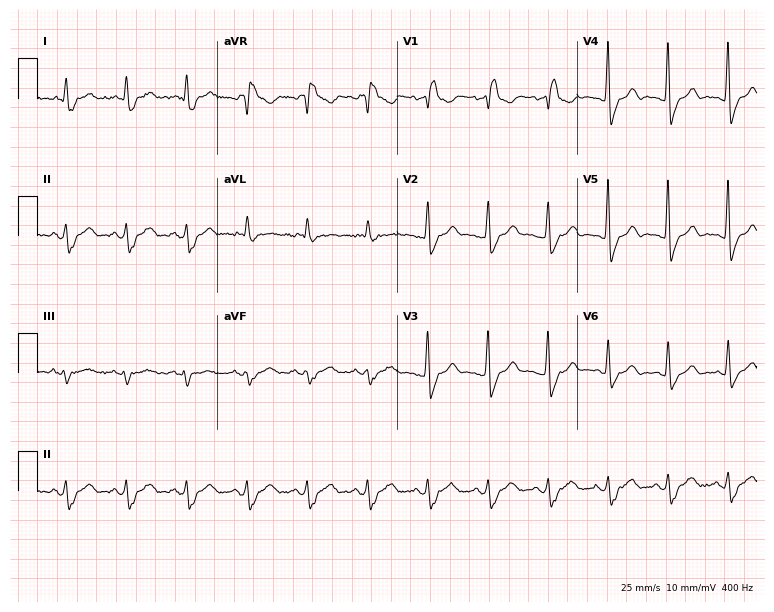
12-lead ECG from a man, 69 years old. Shows right bundle branch block.